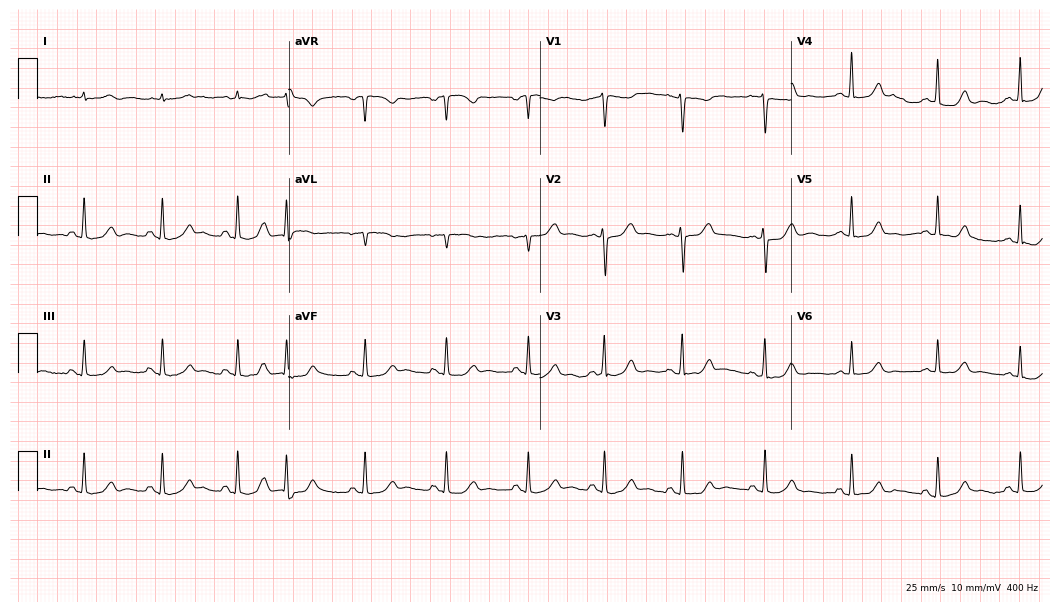
12-lead ECG from a woman, 44 years old. No first-degree AV block, right bundle branch block, left bundle branch block, sinus bradycardia, atrial fibrillation or sinus tachycardia recorded for this tracing.